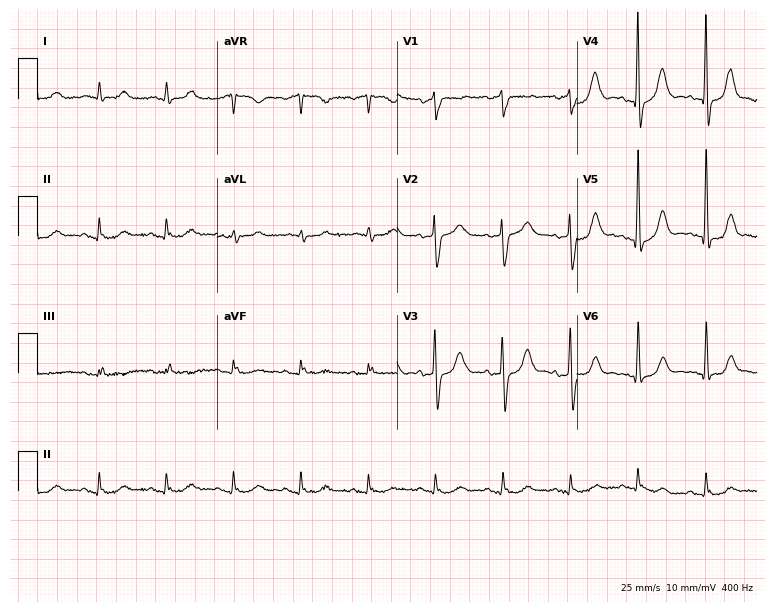
12-lead ECG (7.3-second recording at 400 Hz) from an 81-year-old man. Labelled as a normal ECG.